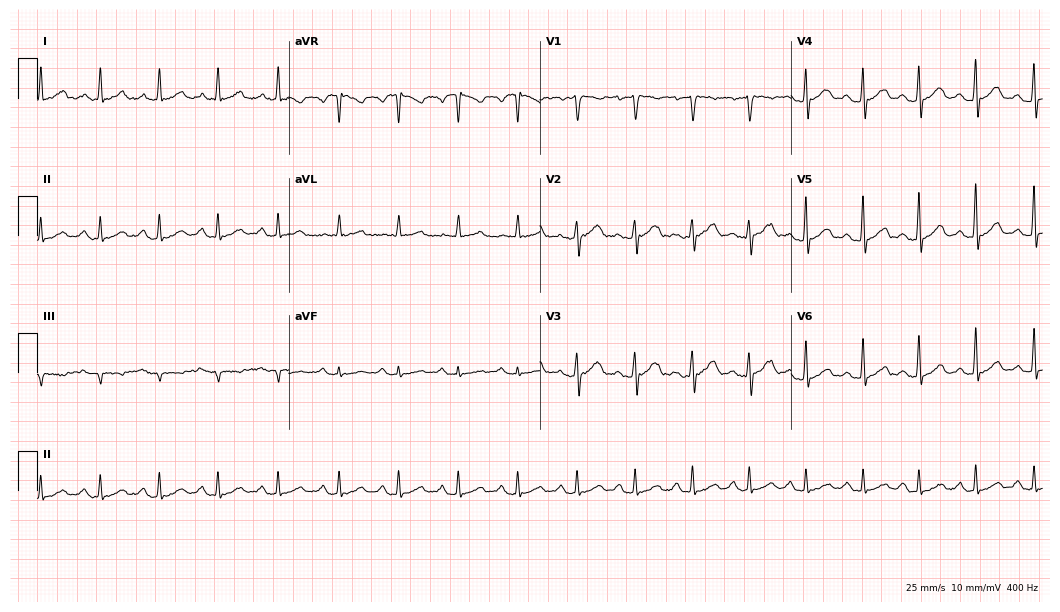
12-lead ECG from a 37-year-old female patient. Labelled as a normal ECG.